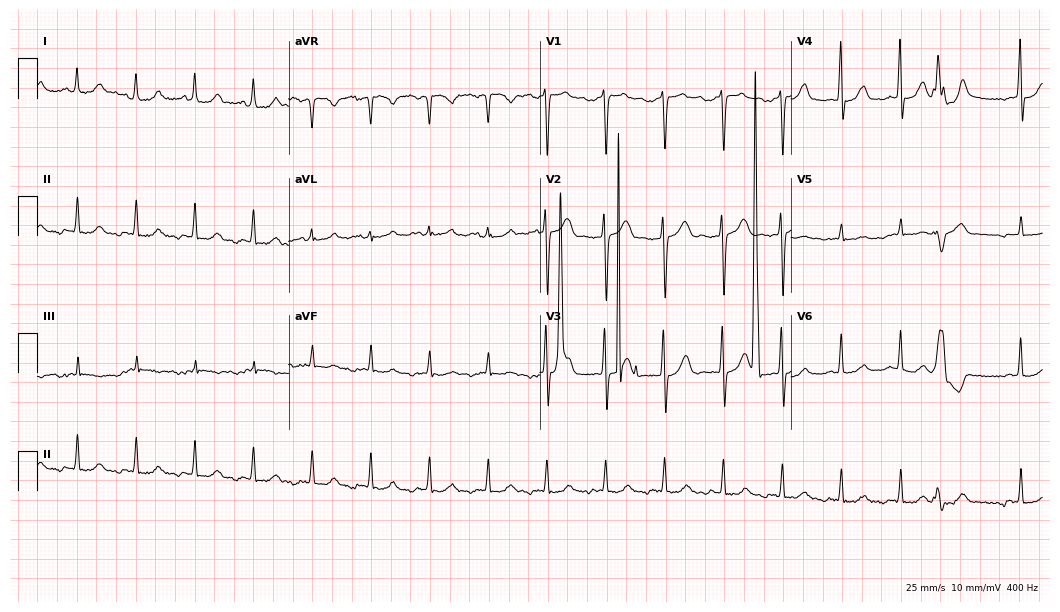
ECG — a male, 53 years old. Screened for six findings — first-degree AV block, right bundle branch block, left bundle branch block, sinus bradycardia, atrial fibrillation, sinus tachycardia — none is recorded.